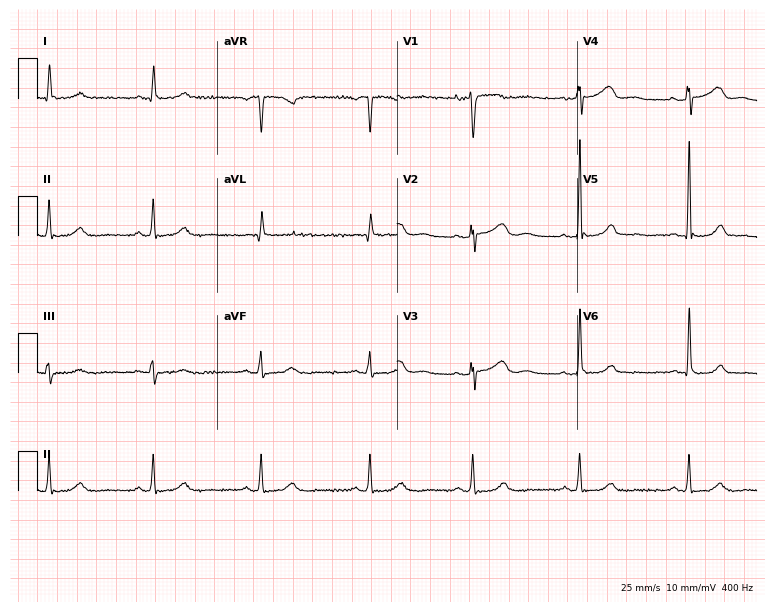
Standard 12-lead ECG recorded from a female patient, 51 years old. None of these six findings is recorded: first-degree AV block, right bundle branch block, left bundle branch block, sinus bradycardia, atrial fibrillation, sinus tachycardia. Other findings, if any, are not listed.